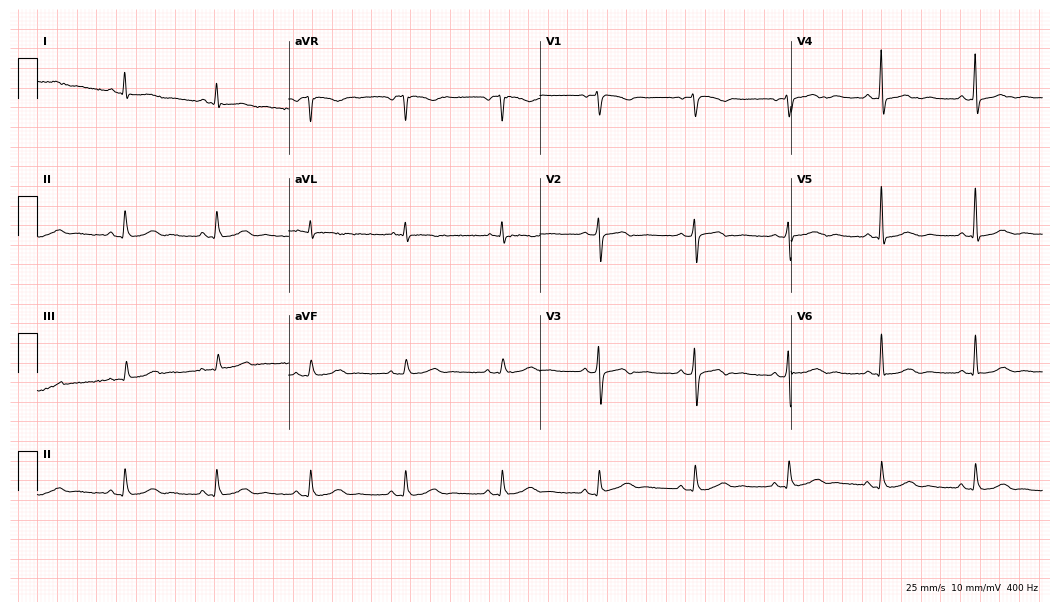
ECG (10.2-second recording at 400 Hz) — a 58-year-old female patient. Screened for six findings — first-degree AV block, right bundle branch block (RBBB), left bundle branch block (LBBB), sinus bradycardia, atrial fibrillation (AF), sinus tachycardia — none is recorded. Findings outside these six are not listed.